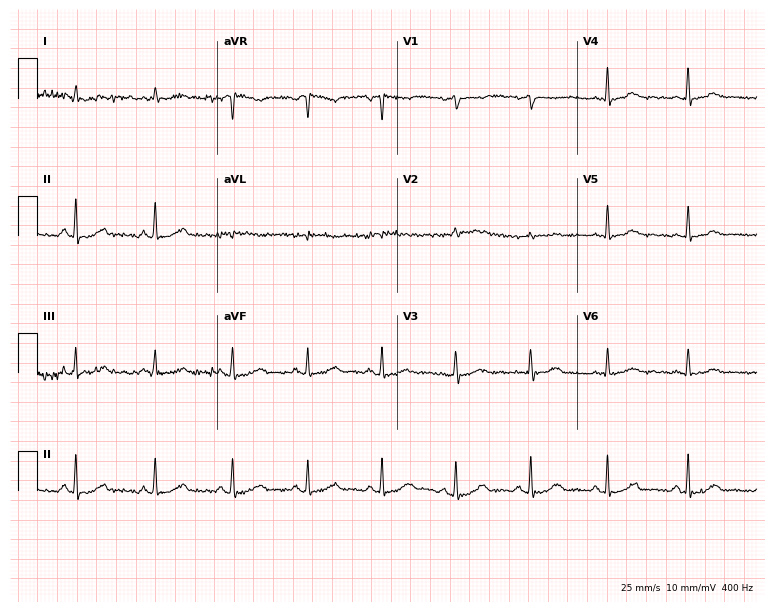
Electrocardiogram (7.3-second recording at 400 Hz), a 78-year-old female patient. Overall reading on record: normal ECG.